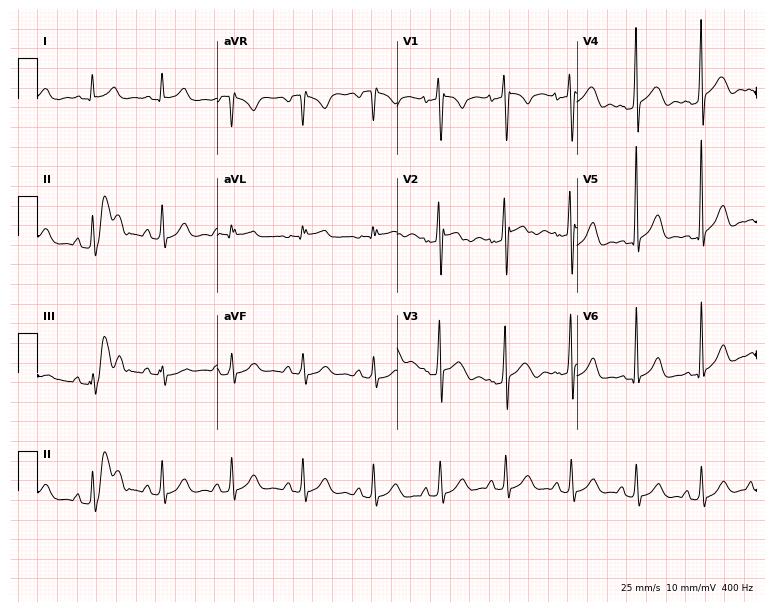
Resting 12-lead electrocardiogram. Patient: a 22-year-old man. None of these six findings is recorded: first-degree AV block, right bundle branch block, left bundle branch block, sinus bradycardia, atrial fibrillation, sinus tachycardia. Findings outside these six are not listed.